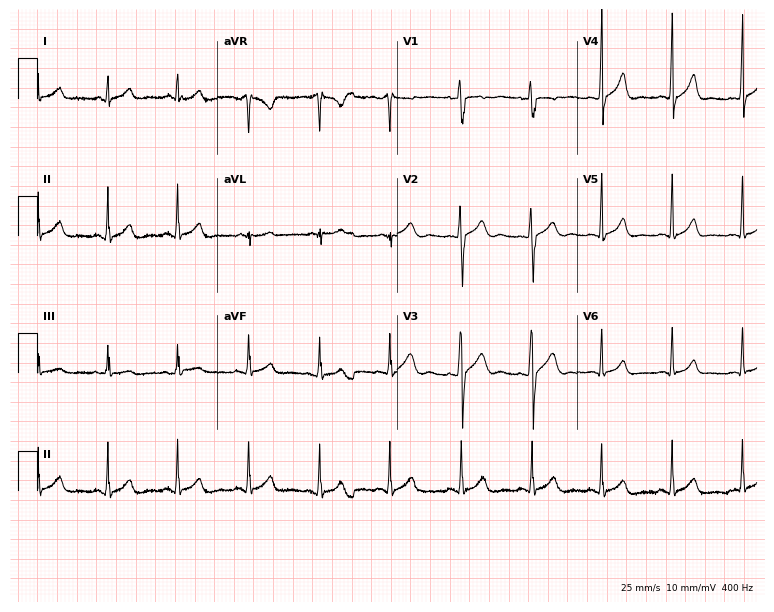
Standard 12-lead ECG recorded from a male, 22 years old (7.3-second recording at 400 Hz). Read as a normal ECG.